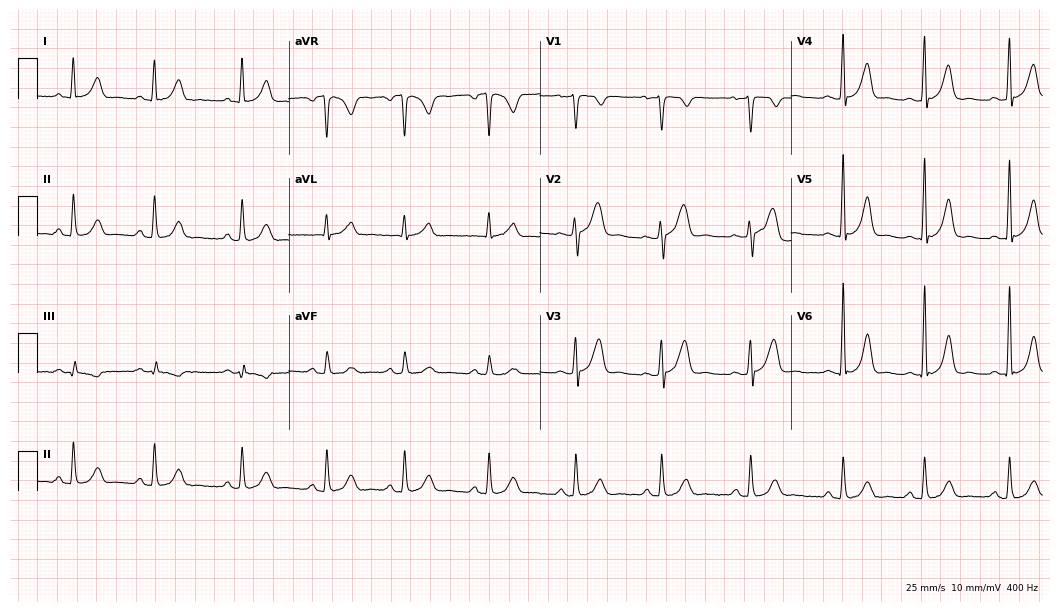
Standard 12-lead ECG recorded from a woman, 35 years old. Read as a normal ECG.